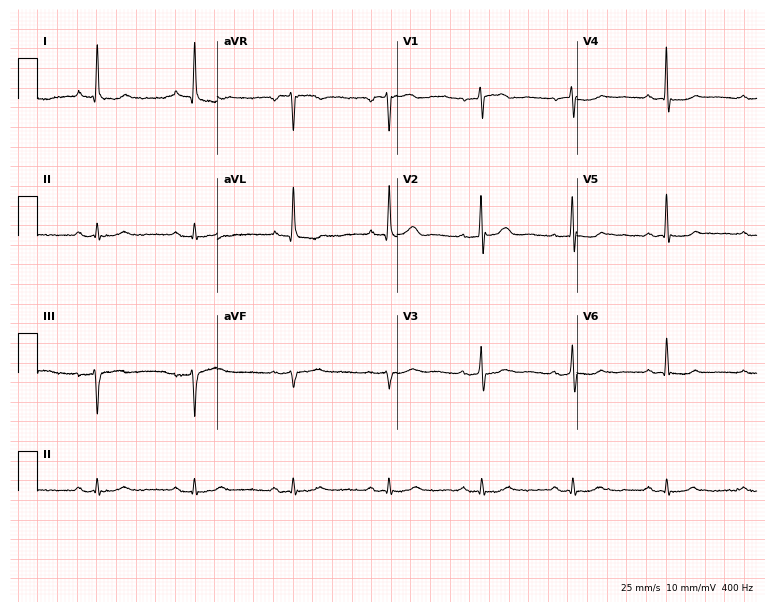
Electrocardiogram, a male patient, 60 years old. Of the six screened findings (first-degree AV block, right bundle branch block, left bundle branch block, sinus bradycardia, atrial fibrillation, sinus tachycardia), none is recorded.